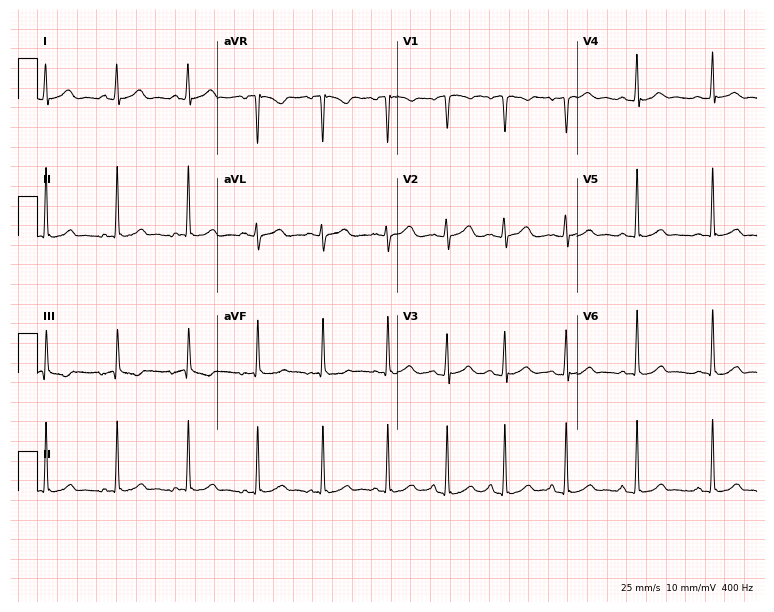
12-lead ECG from a female patient, 22 years old. Screened for six findings — first-degree AV block, right bundle branch block, left bundle branch block, sinus bradycardia, atrial fibrillation, sinus tachycardia — none is recorded.